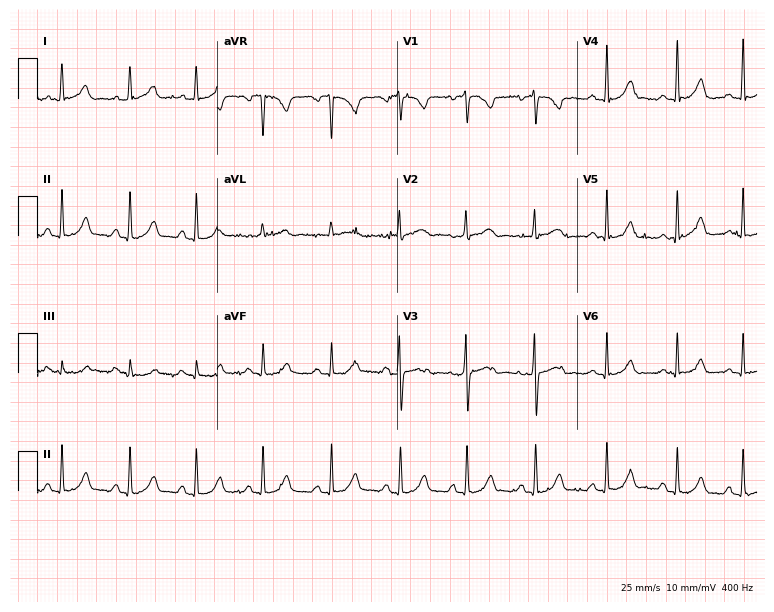
ECG — a 23-year-old female. Labelled as a normal ECG.